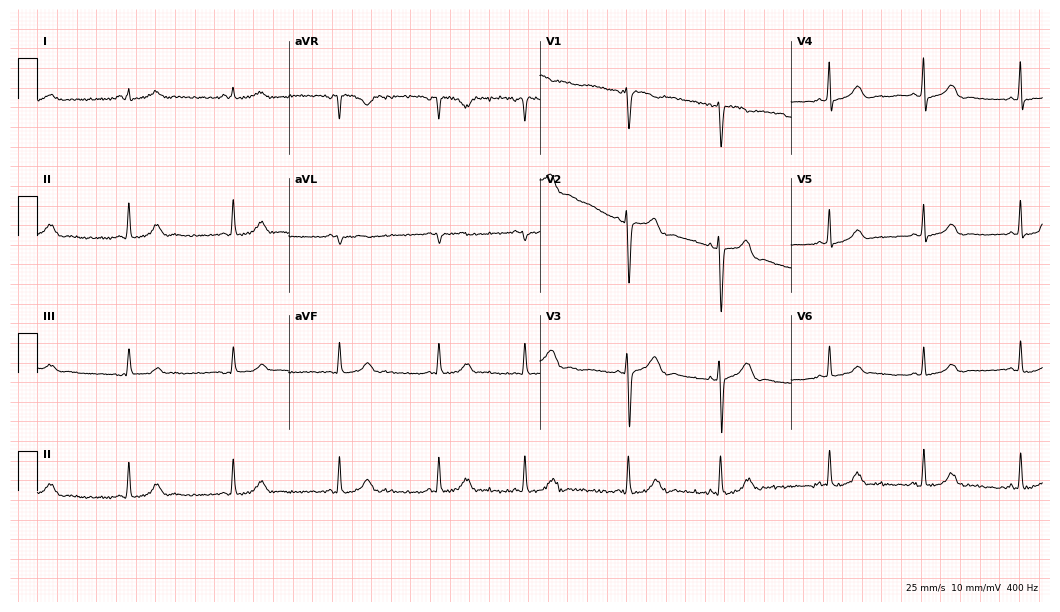
12-lead ECG from a female patient, 31 years old. Recorded interpretation: within normal limits.